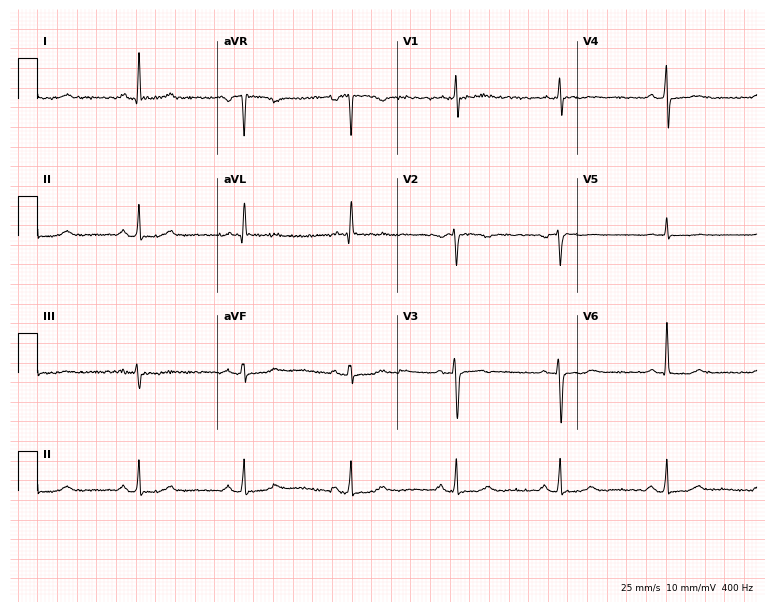
ECG (7.3-second recording at 400 Hz) — a 64-year-old female. Labelled as a normal ECG.